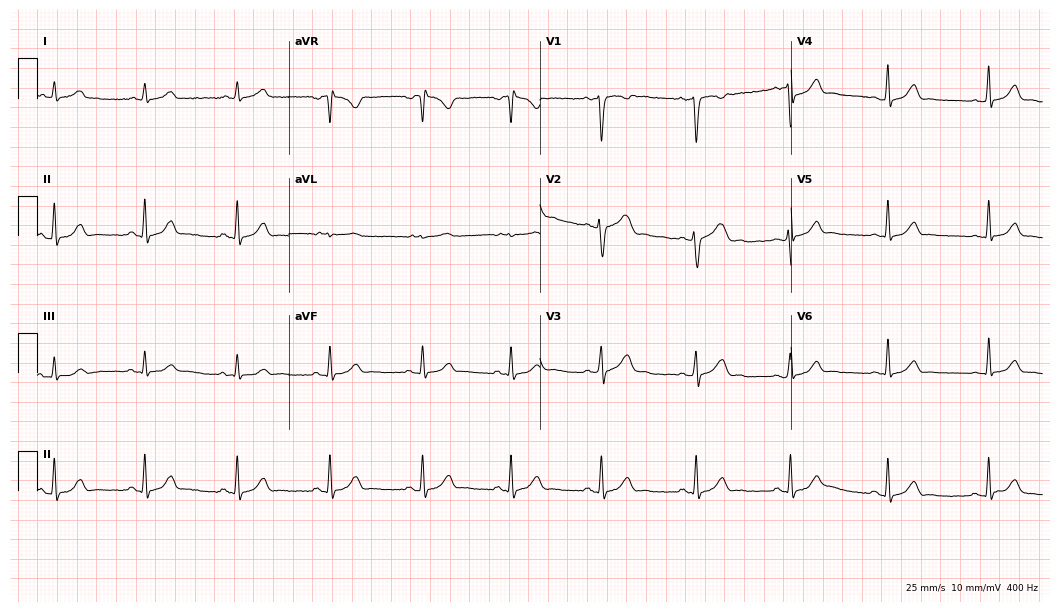
12-lead ECG (10.2-second recording at 400 Hz) from a female patient, 39 years old. Labelled as a normal ECG.